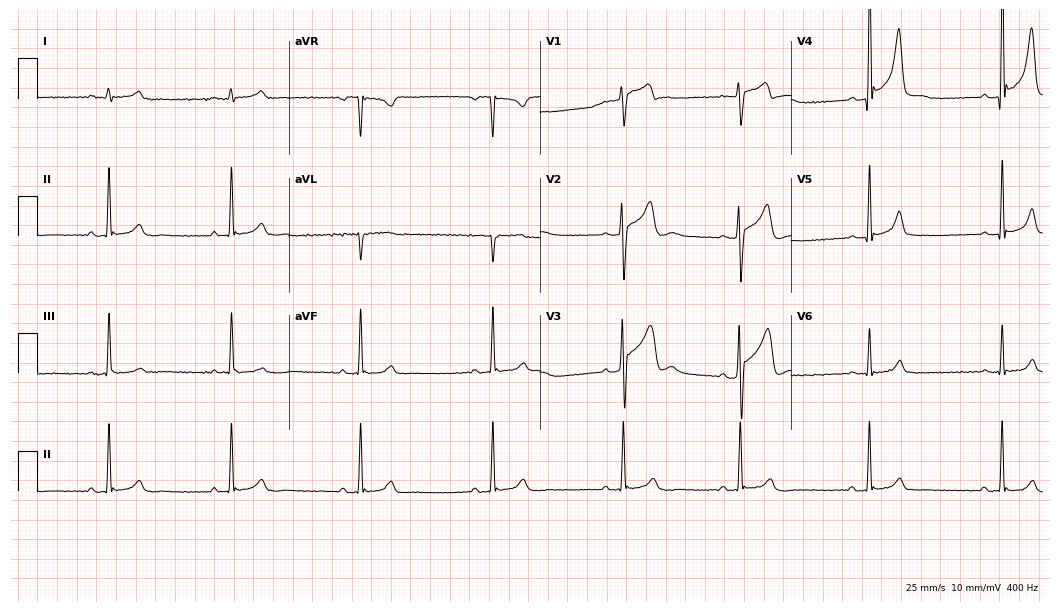
Resting 12-lead electrocardiogram. Patient: a male, 34 years old. The tracing shows sinus bradycardia (a sinus rate of 50 beats per minute or less).